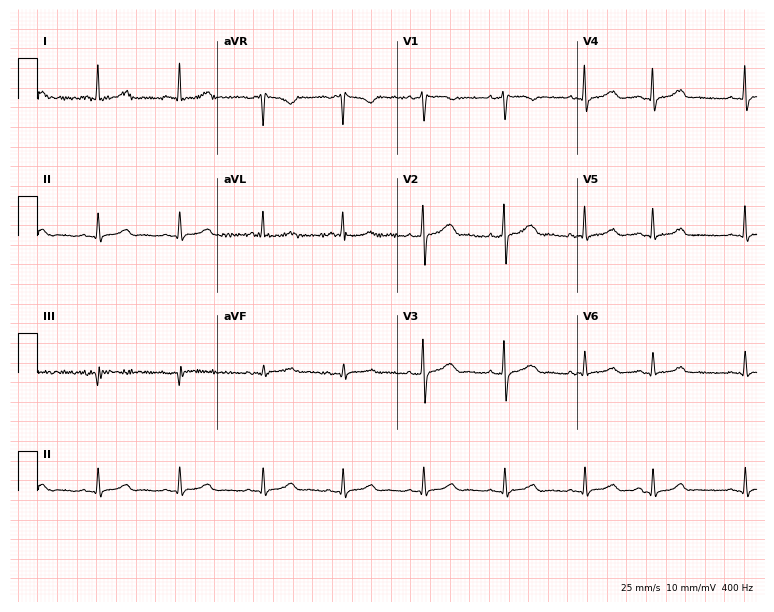
12-lead ECG from a 73-year-old female patient. Labelled as a normal ECG.